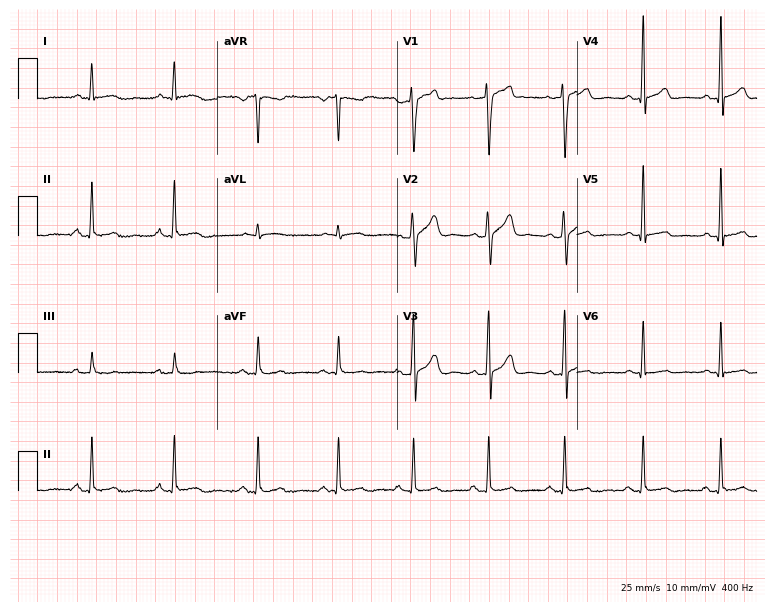
Resting 12-lead electrocardiogram. Patient: a 31-year-old male. None of these six findings is recorded: first-degree AV block, right bundle branch block, left bundle branch block, sinus bradycardia, atrial fibrillation, sinus tachycardia. Other findings, if any, are not listed.